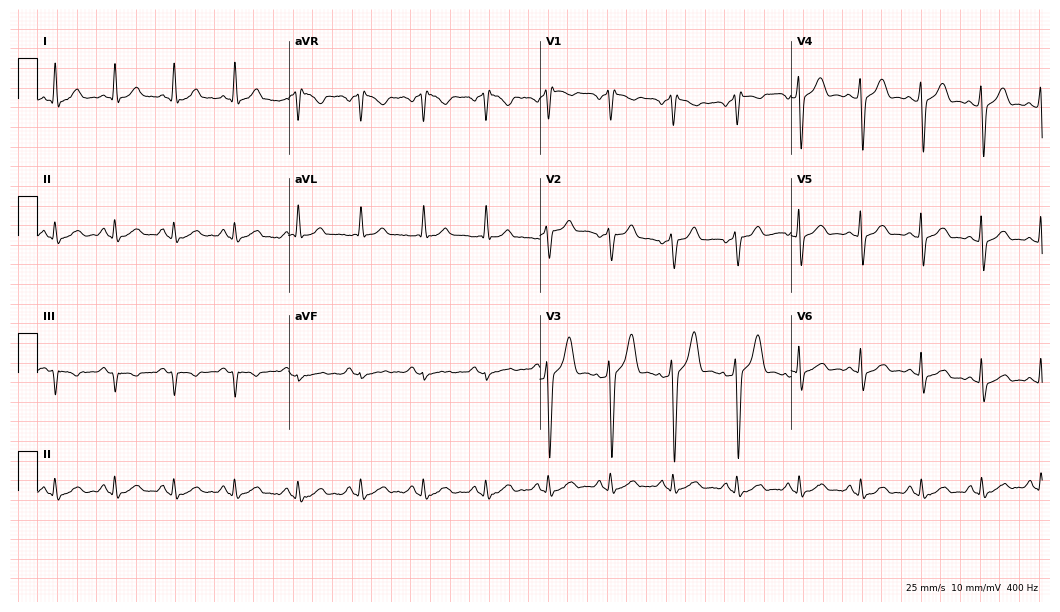
Resting 12-lead electrocardiogram (10.2-second recording at 400 Hz). Patient: a man, 40 years old. None of these six findings is recorded: first-degree AV block, right bundle branch block, left bundle branch block, sinus bradycardia, atrial fibrillation, sinus tachycardia. Only these six findings were labelled.